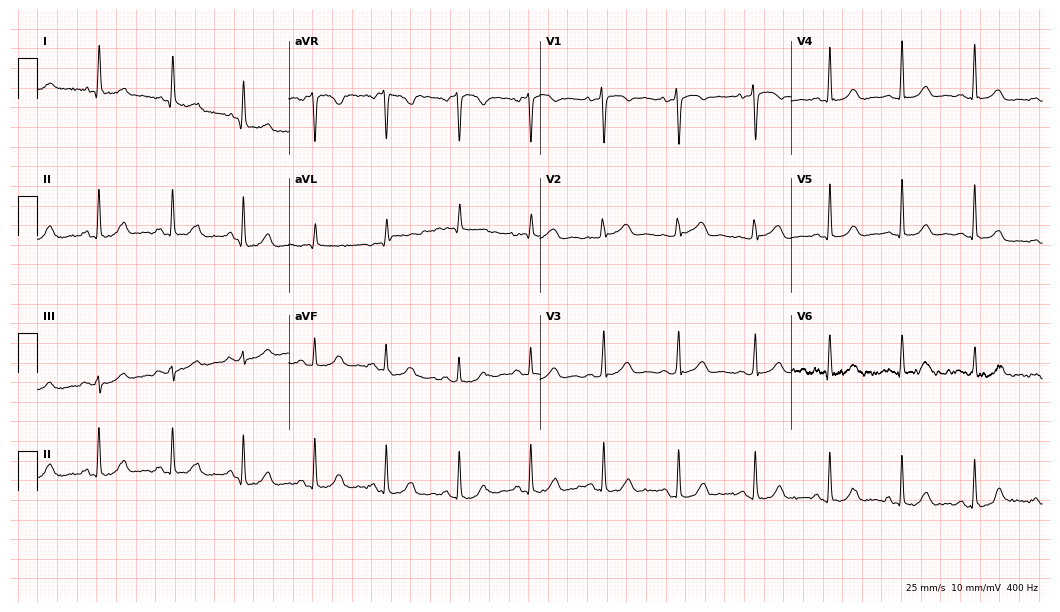
Standard 12-lead ECG recorded from a 71-year-old female patient (10.2-second recording at 400 Hz). Read as a normal ECG.